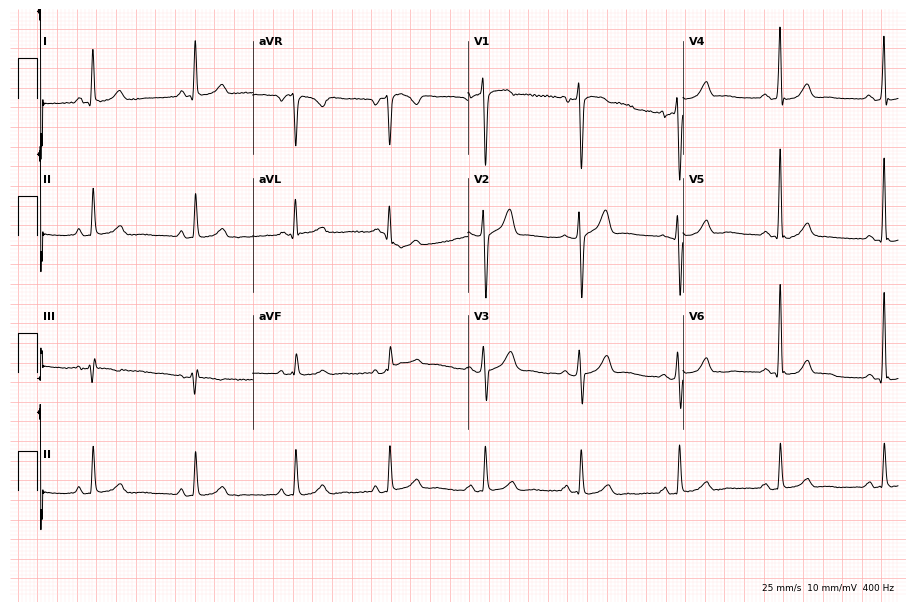
Electrocardiogram (8.8-second recording at 400 Hz), a 52-year-old male. Overall reading on record: normal ECG.